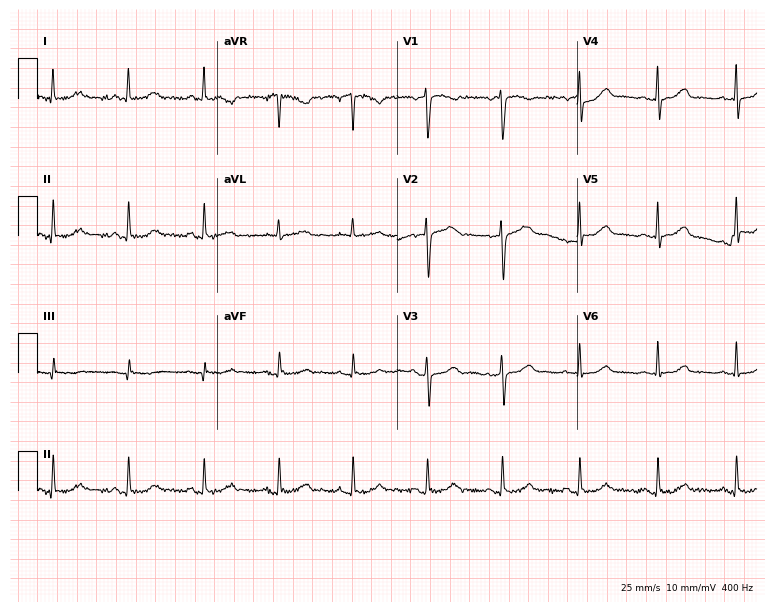
12-lead ECG (7.3-second recording at 400 Hz) from a 46-year-old female patient. Labelled as a normal ECG.